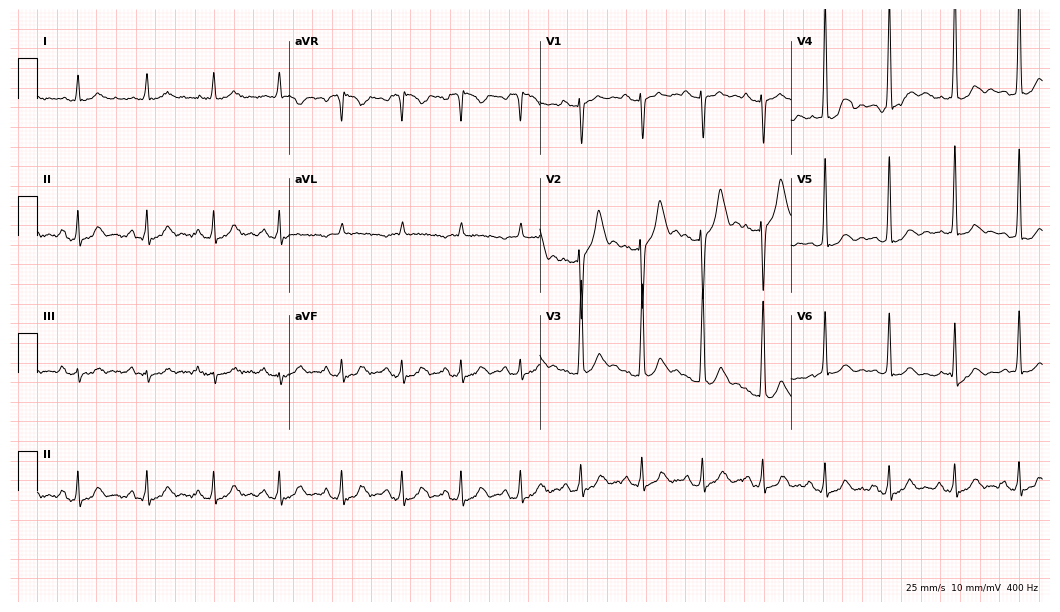
12-lead ECG from a 59-year-old male patient. No first-degree AV block, right bundle branch block (RBBB), left bundle branch block (LBBB), sinus bradycardia, atrial fibrillation (AF) or sinus tachycardia recorded for this tracing.